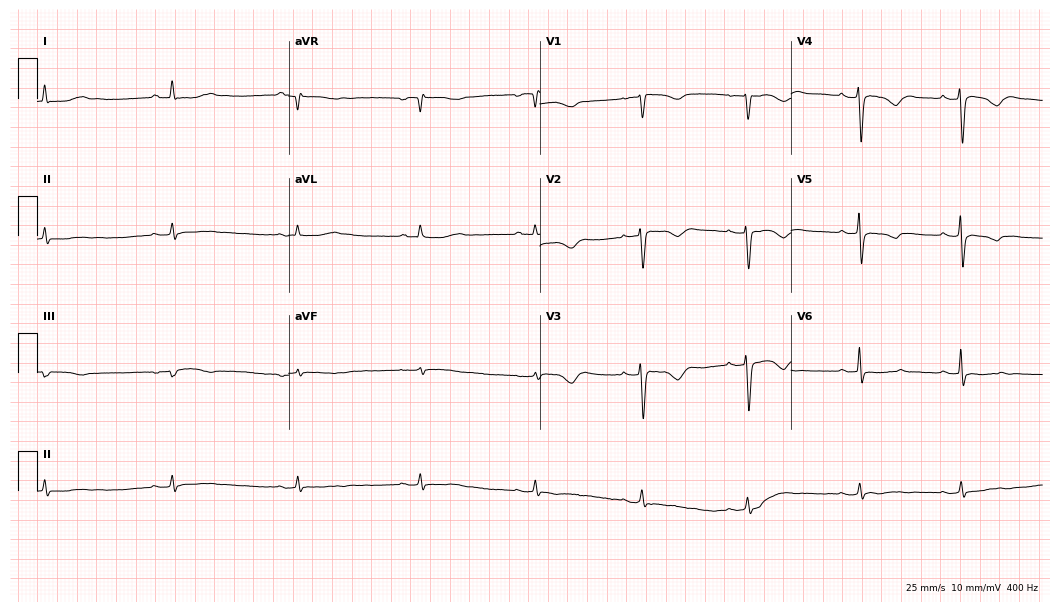
Standard 12-lead ECG recorded from a 59-year-old woman. The tracing shows sinus bradycardia (a sinus rate of 50 beats per minute or less).